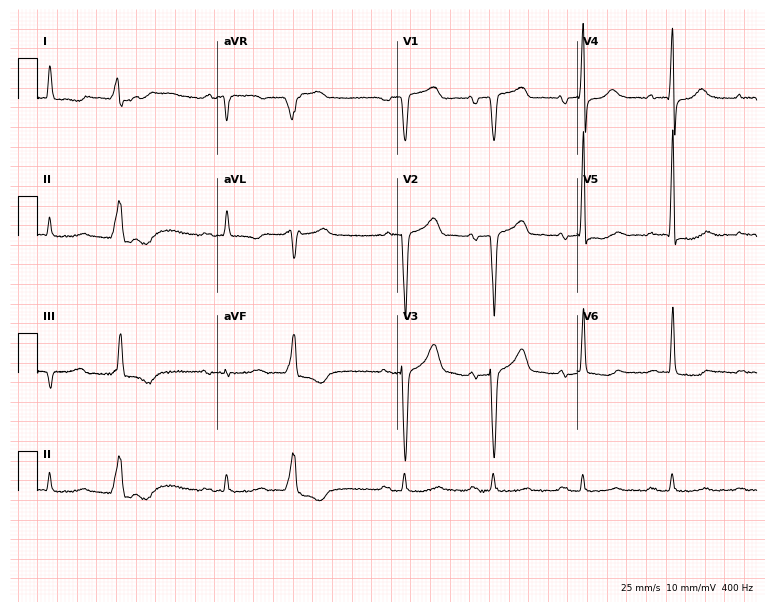
12-lead ECG from a male patient, 78 years old. Screened for six findings — first-degree AV block, right bundle branch block, left bundle branch block, sinus bradycardia, atrial fibrillation, sinus tachycardia — none is recorded. Other findings, if any, are not listed.